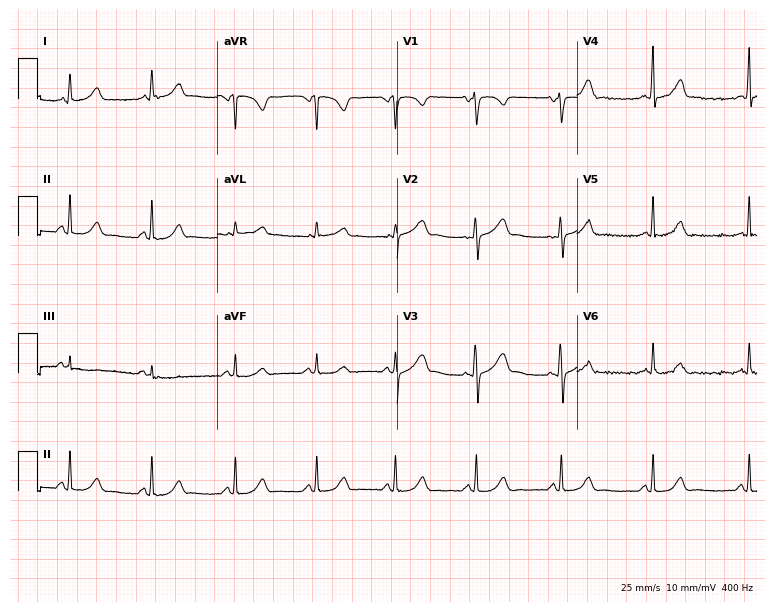
12-lead ECG from a woman, 20 years old (7.3-second recording at 400 Hz). Recorded interpretation: within normal limits.